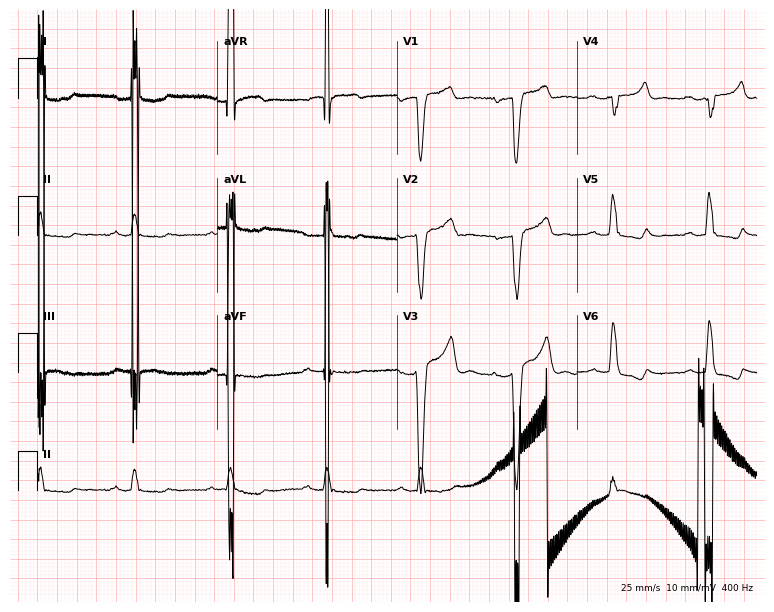
12-lead ECG (7.3-second recording at 400 Hz) from a female patient, 66 years old. Screened for six findings — first-degree AV block, right bundle branch block, left bundle branch block, sinus bradycardia, atrial fibrillation, sinus tachycardia — none is recorded.